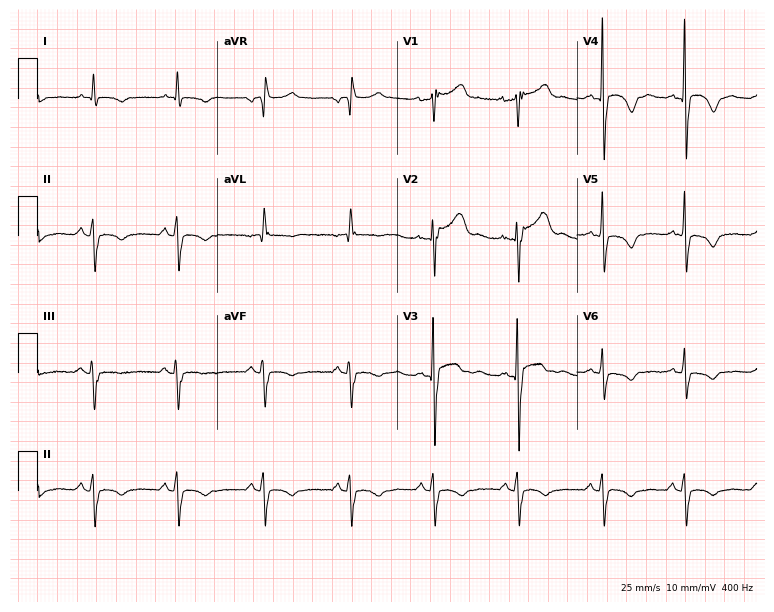
Standard 12-lead ECG recorded from a 64-year-old male patient. None of these six findings is recorded: first-degree AV block, right bundle branch block, left bundle branch block, sinus bradycardia, atrial fibrillation, sinus tachycardia. Other findings, if any, are not listed.